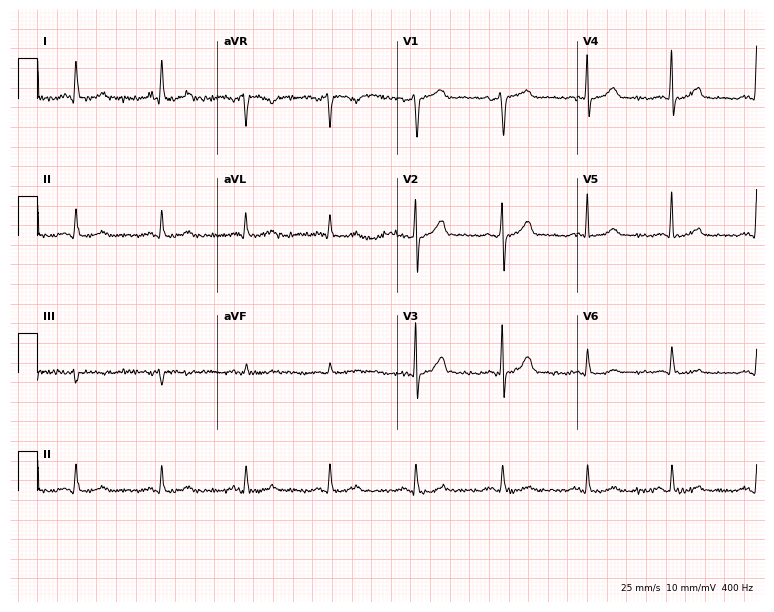
ECG — a 65-year-old man. Labelled as a normal ECG.